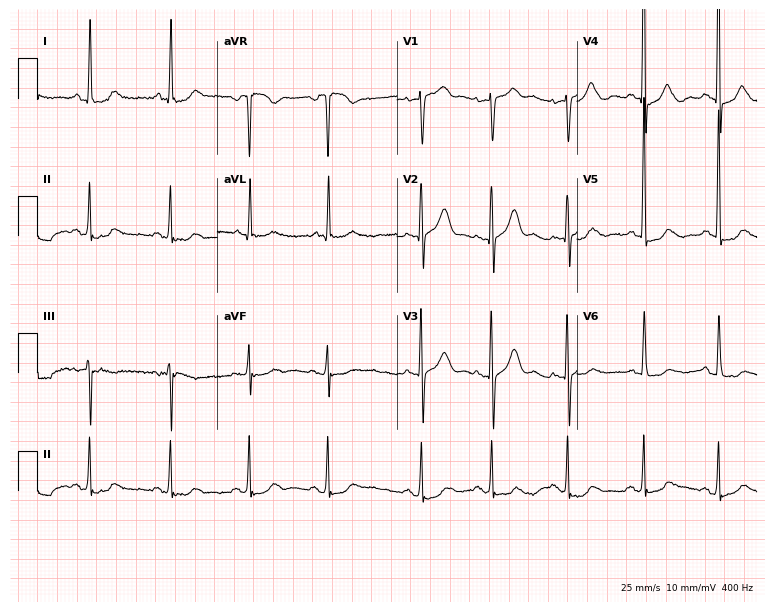
12-lead ECG from a female, 81 years old (7.3-second recording at 400 Hz). No first-degree AV block, right bundle branch block (RBBB), left bundle branch block (LBBB), sinus bradycardia, atrial fibrillation (AF) or sinus tachycardia recorded for this tracing.